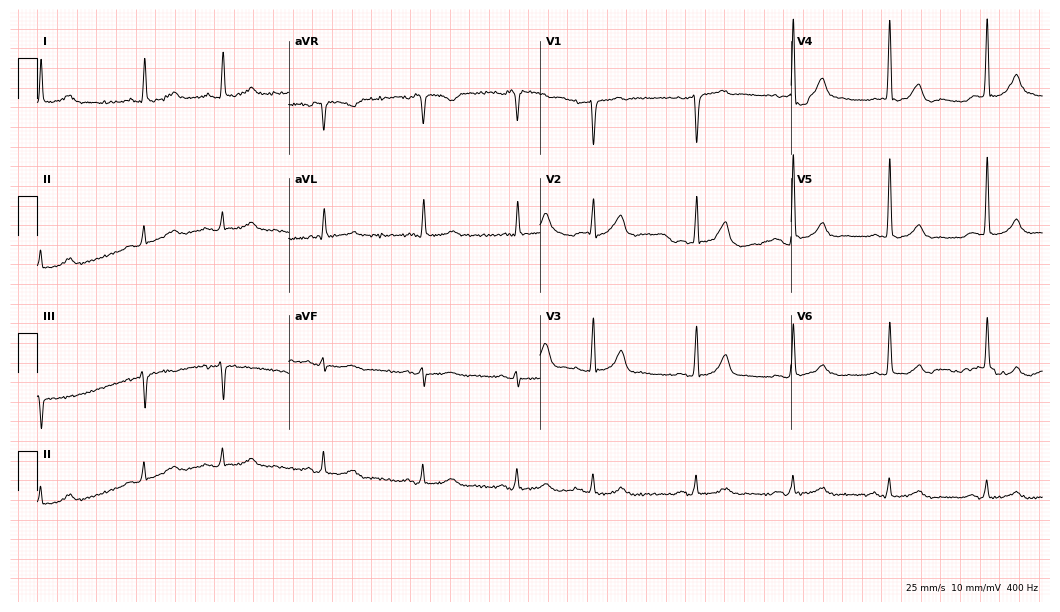
Electrocardiogram, a female, 84 years old. Overall reading on record: normal ECG.